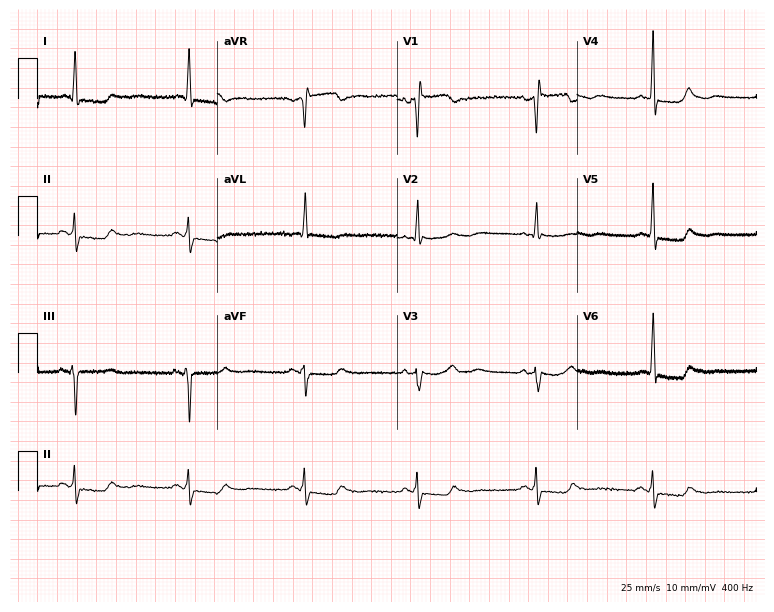
Standard 12-lead ECG recorded from a female, 85 years old (7.3-second recording at 400 Hz). The tracing shows sinus bradycardia (a sinus rate of 50 beats per minute or less).